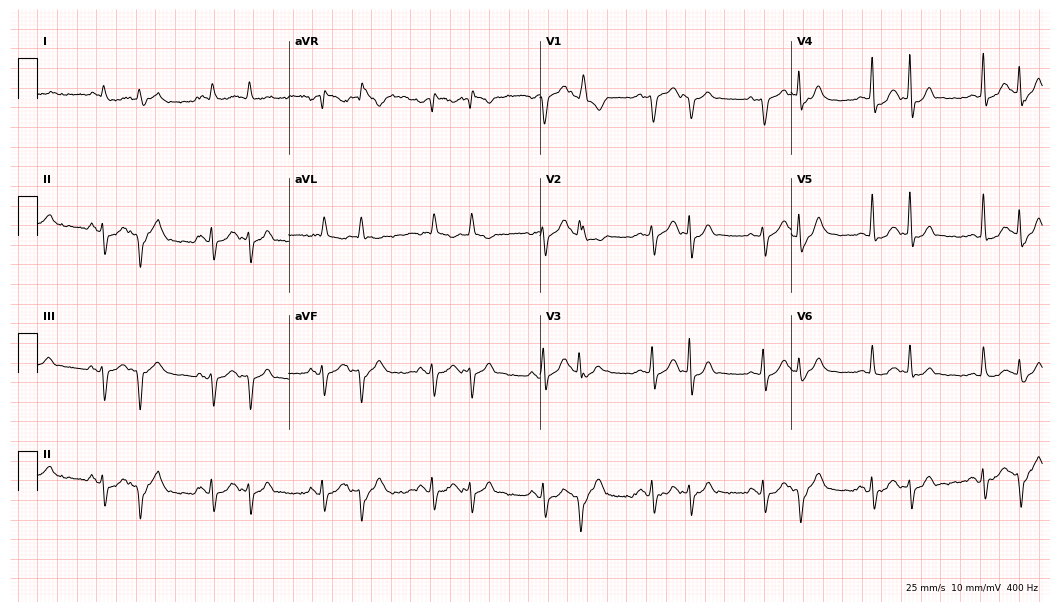
12-lead ECG from a male patient, 74 years old. No first-degree AV block, right bundle branch block, left bundle branch block, sinus bradycardia, atrial fibrillation or sinus tachycardia recorded for this tracing. Findings outside these six are not listed.